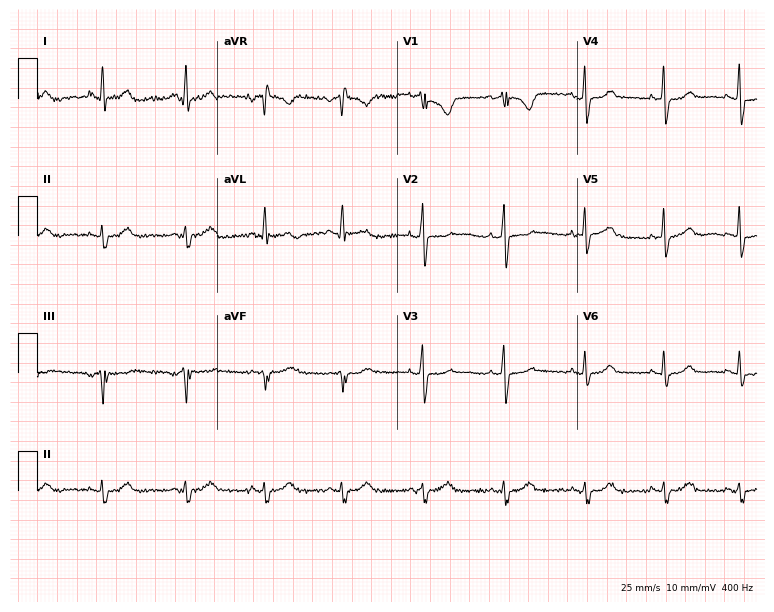
12-lead ECG (7.3-second recording at 400 Hz) from a 41-year-old female patient. Screened for six findings — first-degree AV block, right bundle branch block (RBBB), left bundle branch block (LBBB), sinus bradycardia, atrial fibrillation (AF), sinus tachycardia — none is recorded.